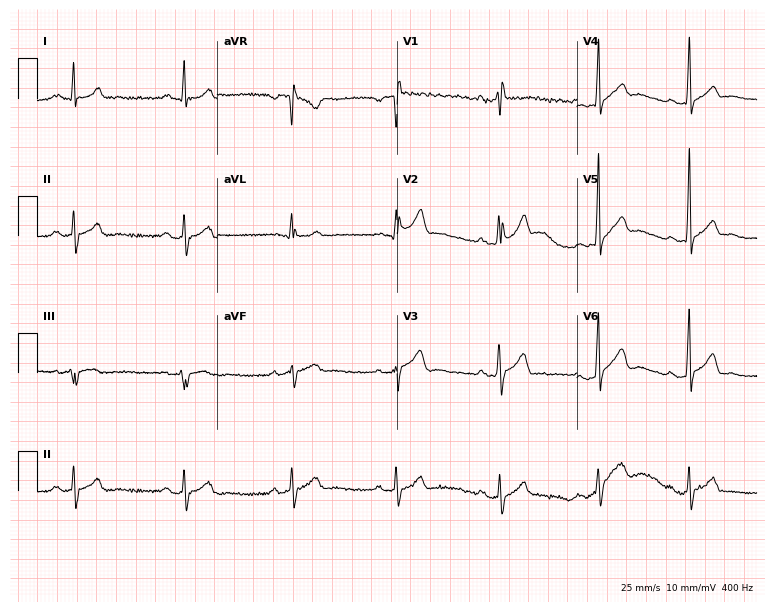
ECG (7.3-second recording at 400 Hz) — a 33-year-old male. Screened for six findings — first-degree AV block, right bundle branch block, left bundle branch block, sinus bradycardia, atrial fibrillation, sinus tachycardia — none is recorded.